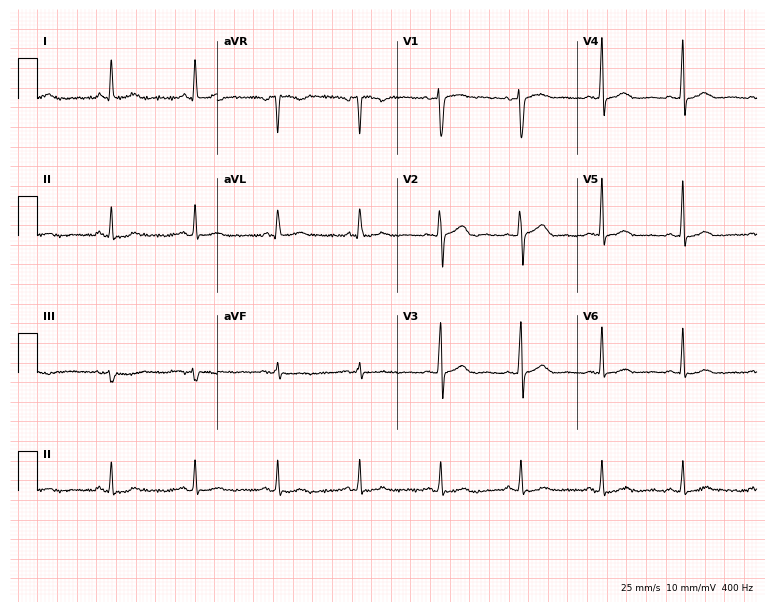
12-lead ECG from a woman, 51 years old. No first-degree AV block, right bundle branch block (RBBB), left bundle branch block (LBBB), sinus bradycardia, atrial fibrillation (AF) or sinus tachycardia recorded for this tracing.